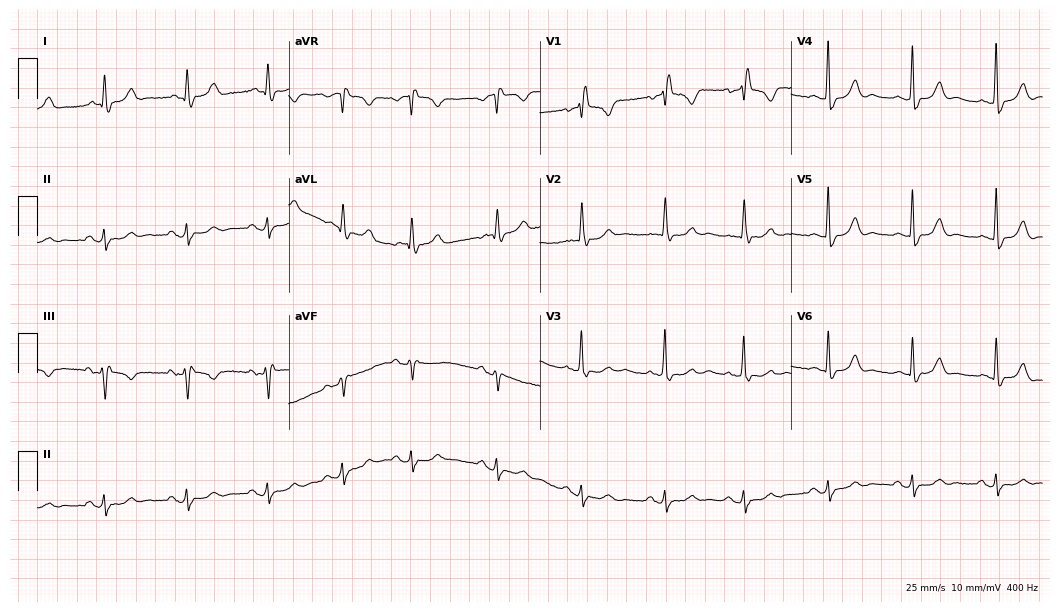
Electrocardiogram (10.2-second recording at 400 Hz), a female, 64 years old. Interpretation includes right bundle branch block.